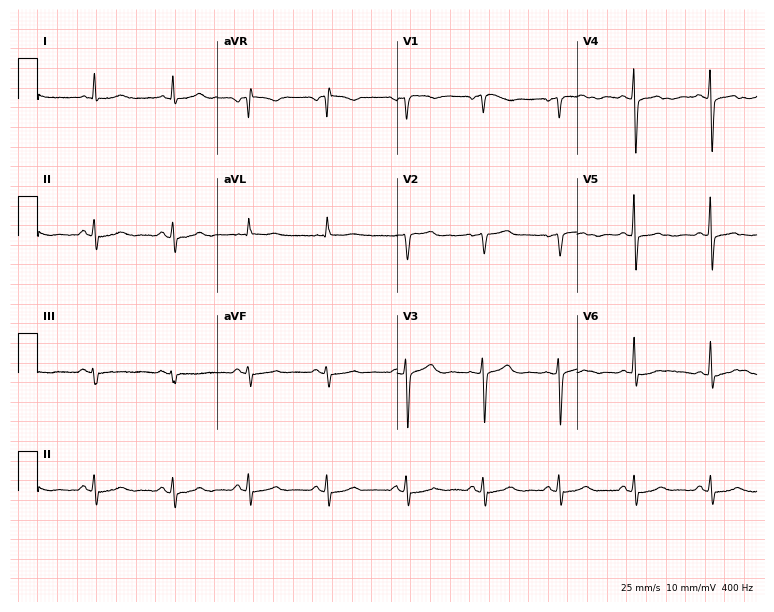
Resting 12-lead electrocardiogram. Patient: a woman, 62 years old. None of these six findings is recorded: first-degree AV block, right bundle branch block (RBBB), left bundle branch block (LBBB), sinus bradycardia, atrial fibrillation (AF), sinus tachycardia. Only these six findings were labelled.